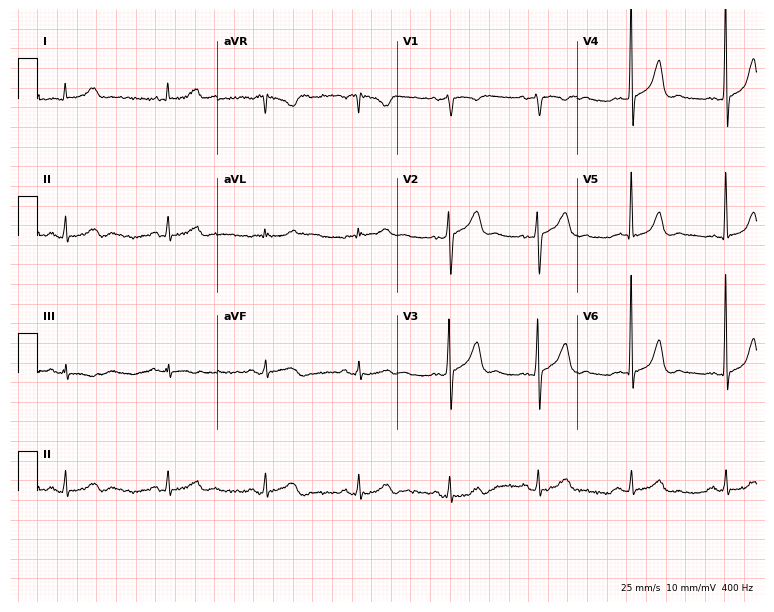
12-lead ECG from a man, 70 years old. Labelled as a normal ECG.